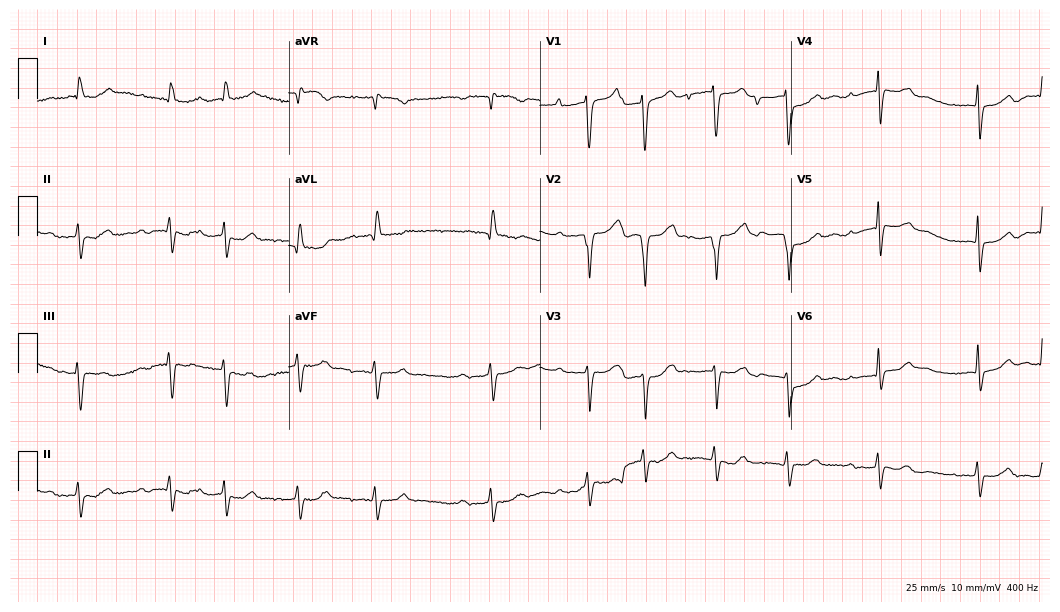
Standard 12-lead ECG recorded from an 83-year-old woman. None of these six findings is recorded: first-degree AV block, right bundle branch block (RBBB), left bundle branch block (LBBB), sinus bradycardia, atrial fibrillation (AF), sinus tachycardia.